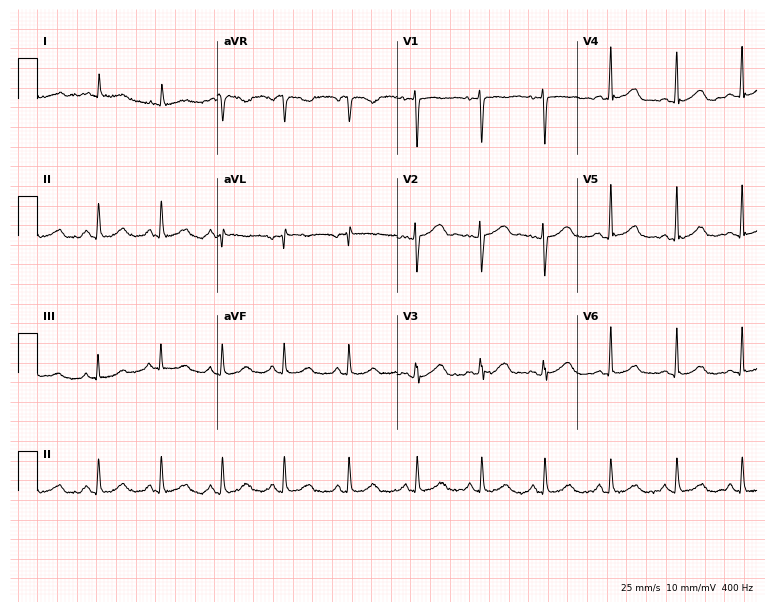
ECG — a female, 44 years old. Screened for six findings — first-degree AV block, right bundle branch block, left bundle branch block, sinus bradycardia, atrial fibrillation, sinus tachycardia — none is recorded.